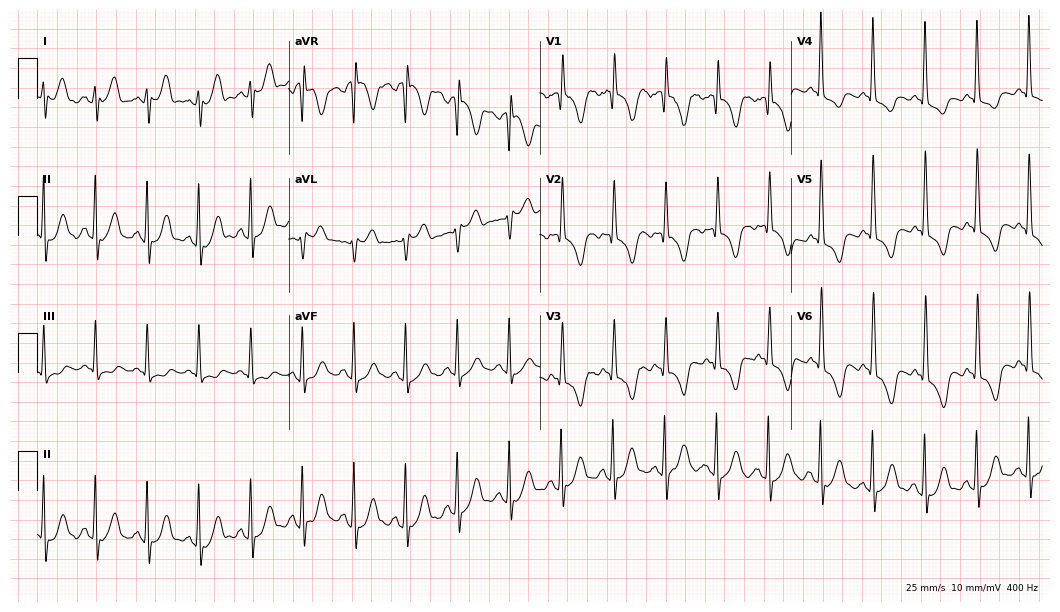
Electrocardiogram, a female, 67 years old. Interpretation includes sinus tachycardia (a sinus rate of 100 beats per minute or more).